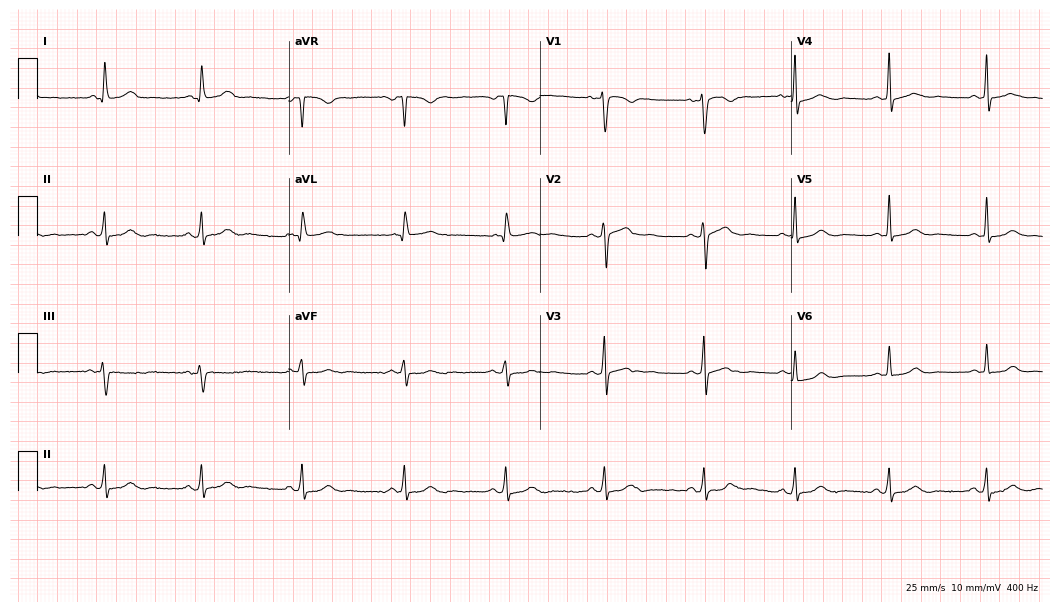
Standard 12-lead ECG recorded from a 44-year-old female (10.2-second recording at 400 Hz). None of these six findings is recorded: first-degree AV block, right bundle branch block, left bundle branch block, sinus bradycardia, atrial fibrillation, sinus tachycardia.